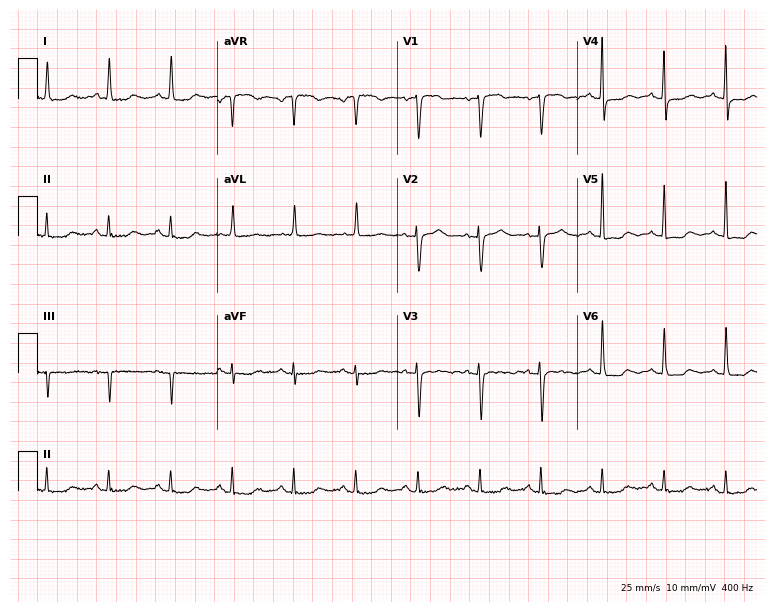
12-lead ECG from a 79-year-old woman (7.3-second recording at 400 Hz). No first-degree AV block, right bundle branch block, left bundle branch block, sinus bradycardia, atrial fibrillation or sinus tachycardia recorded for this tracing. Other findings, if any, are not listed.